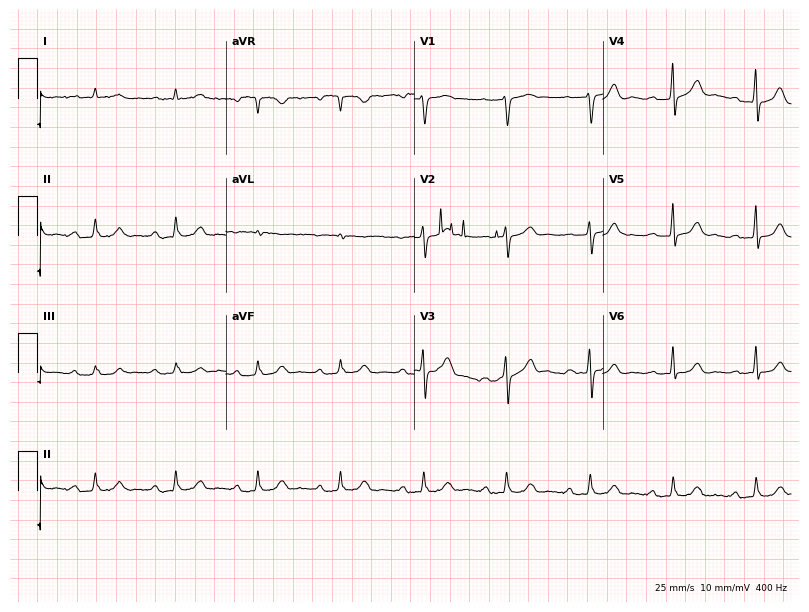
ECG (7.7-second recording at 400 Hz) — a male patient, 70 years old. Findings include first-degree AV block.